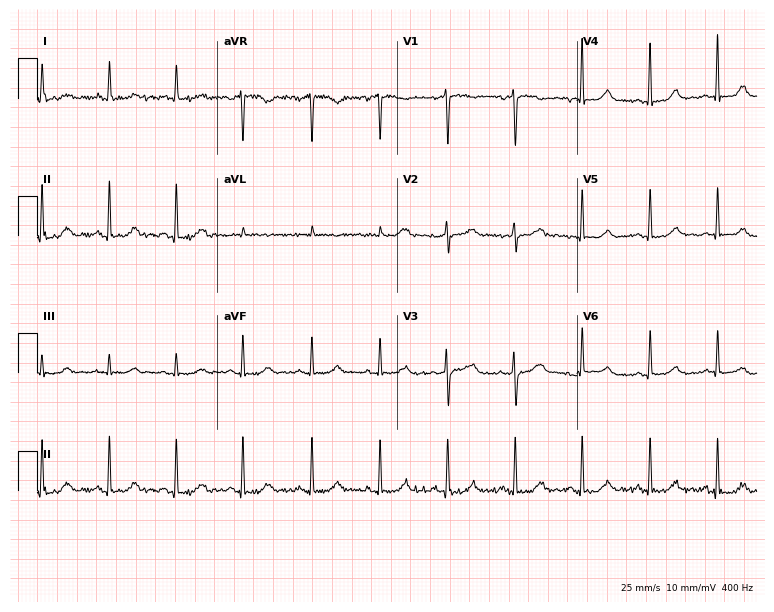
Standard 12-lead ECG recorded from a woman, 29 years old. Read as a normal ECG.